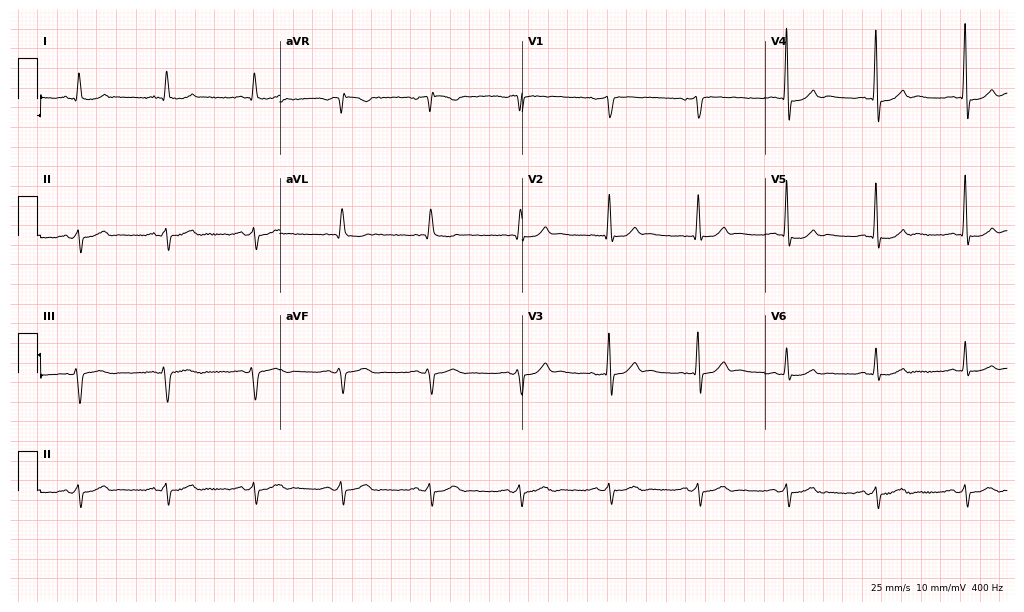
Resting 12-lead electrocardiogram. Patient: a 77-year-old male. Read as a normal ECG.